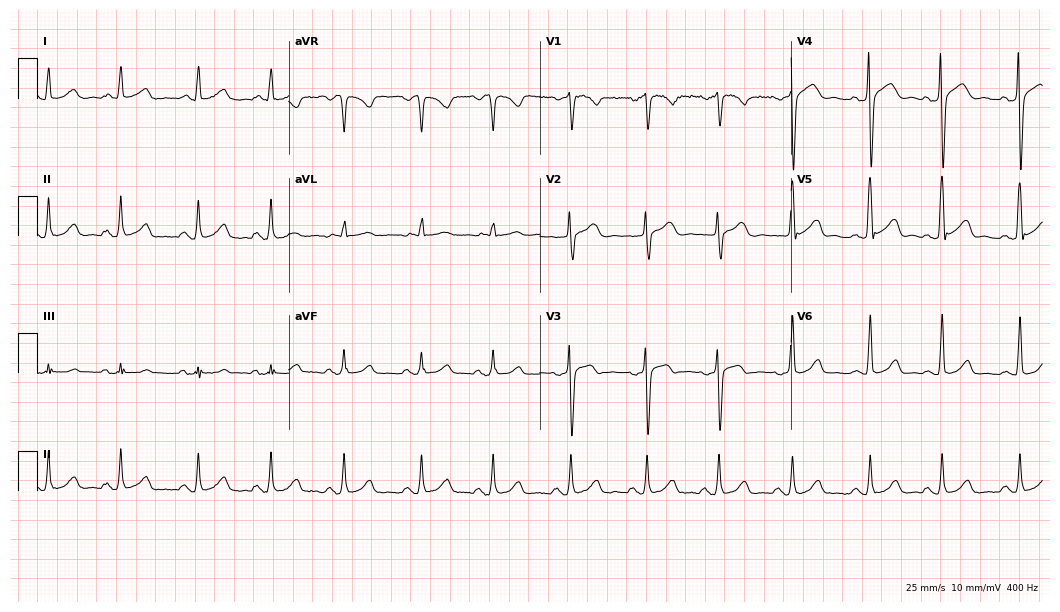
Electrocardiogram (10.2-second recording at 400 Hz), a 43-year-old male patient. Overall reading on record: normal ECG.